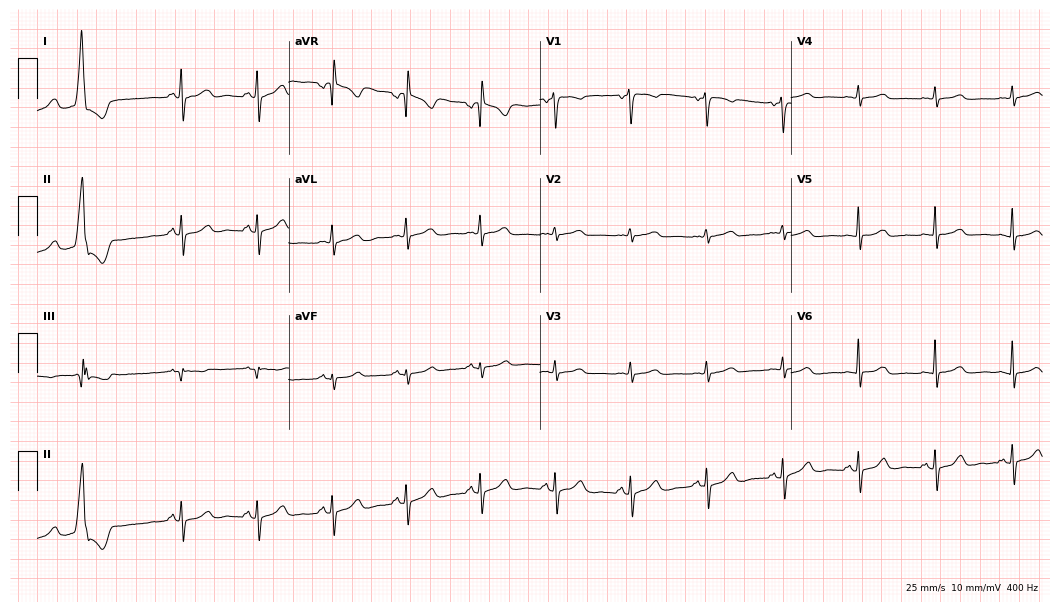
Resting 12-lead electrocardiogram (10.2-second recording at 400 Hz). Patient: a woman, 85 years old. Read as a normal ECG.